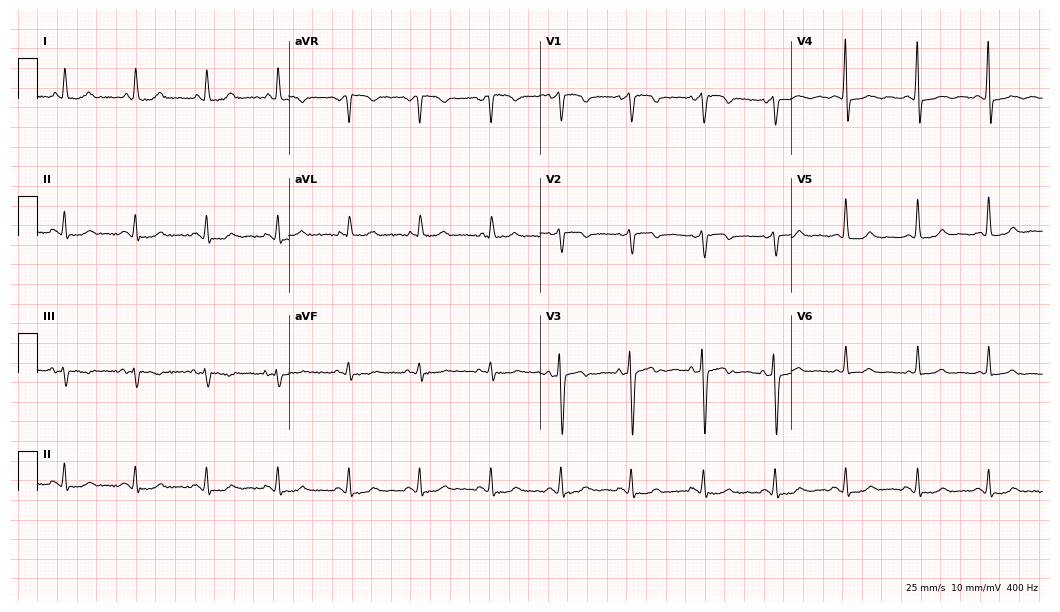
Electrocardiogram (10.2-second recording at 400 Hz), a female, 62 years old. Of the six screened findings (first-degree AV block, right bundle branch block, left bundle branch block, sinus bradycardia, atrial fibrillation, sinus tachycardia), none is recorded. Only these six findings were labelled.